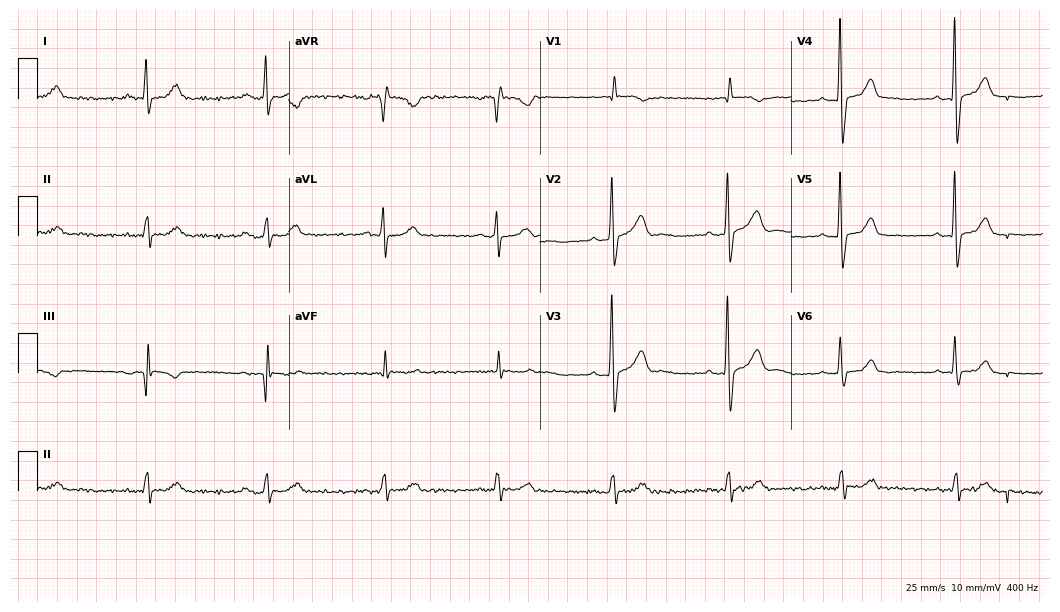
Standard 12-lead ECG recorded from a 76-year-old man (10.2-second recording at 400 Hz). None of these six findings is recorded: first-degree AV block, right bundle branch block, left bundle branch block, sinus bradycardia, atrial fibrillation, sinus tachycardia. Only these six findings were labelled.